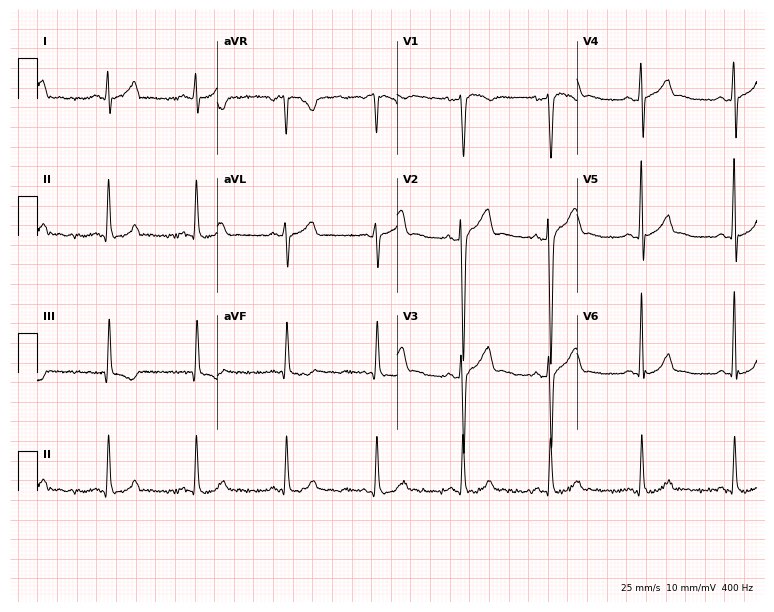
Resting 12-lead electrocardiogram (7.3-second recording at 400 Hz). Patient: a 32-year-old male. None of these six findings is recorded: first-degree AV block, right bundle branch block (RBBB), left bundle branch block (LBBB), sinus bradycardia, atrial fibrillation (AF), sinus tachycardia.